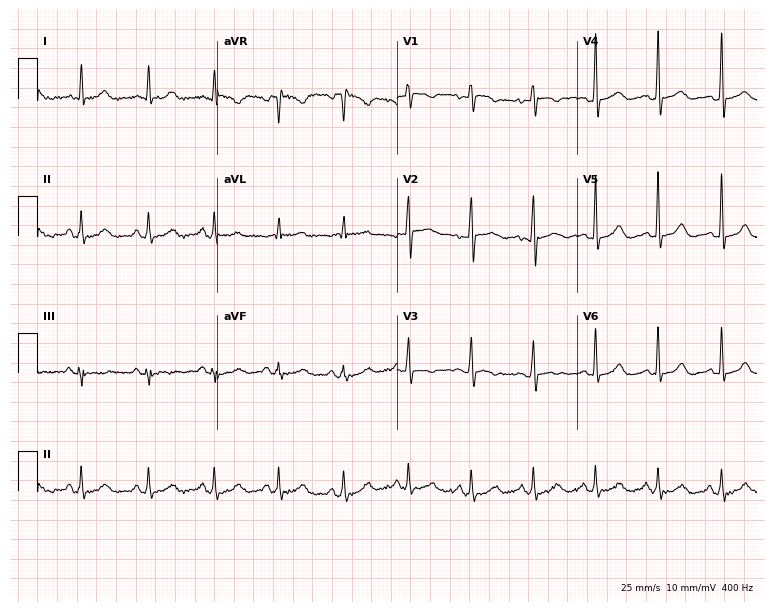
Resting 12-lead electrocardiogram (7.3-second recording at 400 Hz). Patient: a female, 45 years old. Read as a normal ECG.